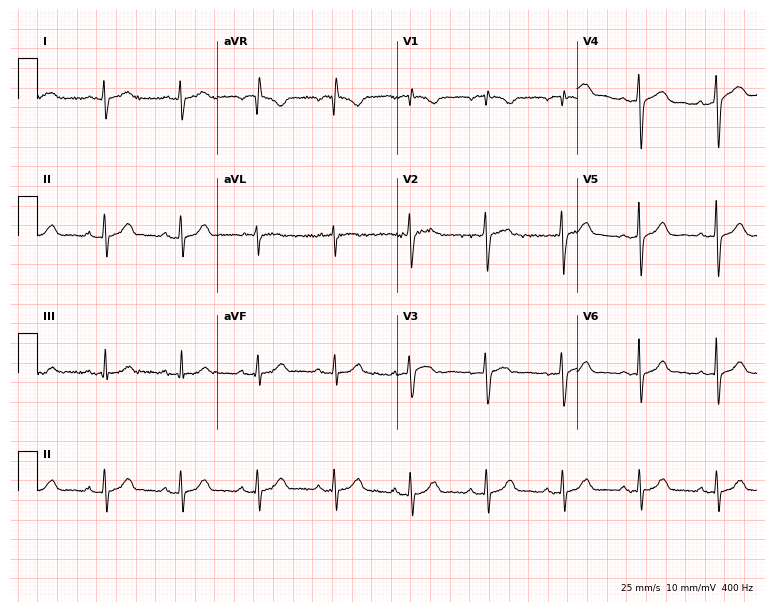
Standard 12-lead ECG recorded from a 58-year-old male patient (7.3-second recording at 400 Hz). Read as a normal ECG.